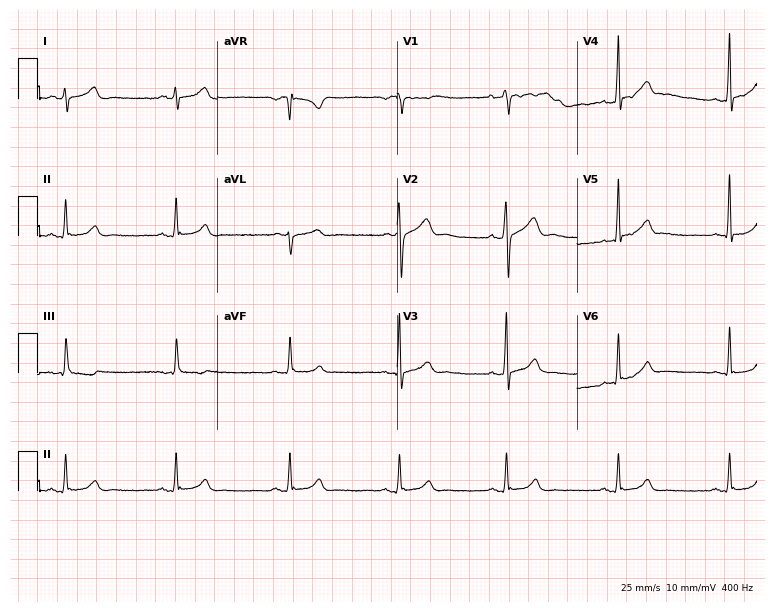
Electrocardiogram, a female patient, 32 years old. Overall reading on record: normal ECG.